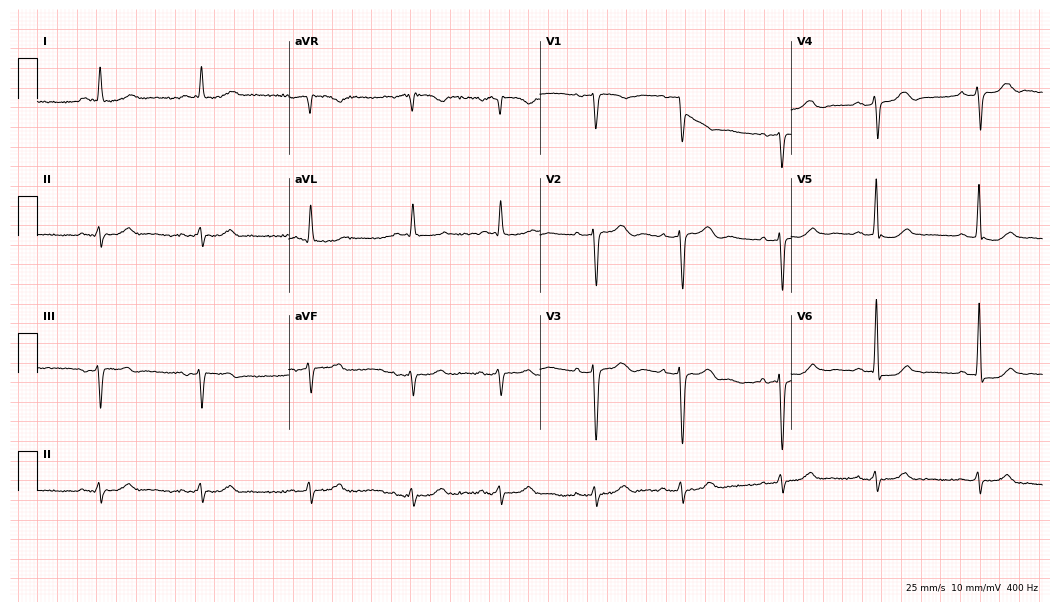
ECG — an 85-year-old male patient. Screened for six findings — first-degree AV block, right bundle branch block, left bundle branch block, sinus bradycardia, atrial fibrillation, sinus tachycardia — none is recorded. Other findings, if any, are not listed.